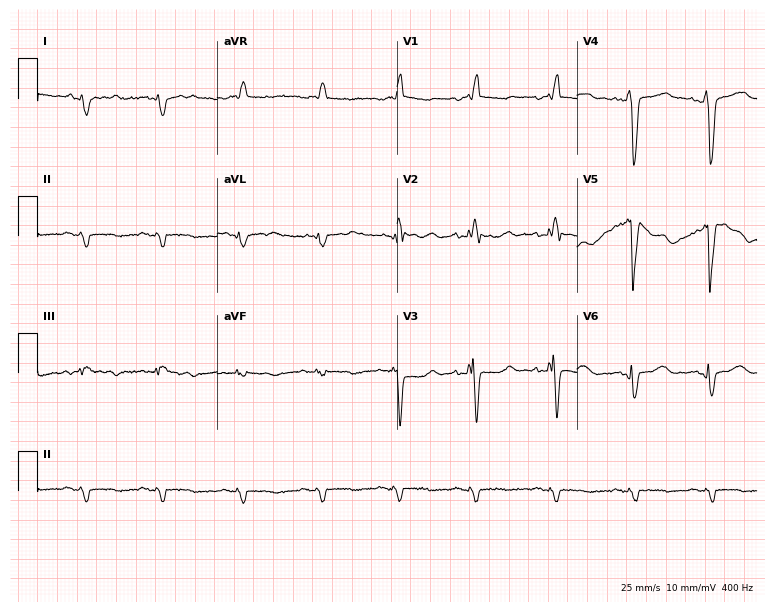
12-lead ECG from a male patient, 61 years old. No first-degree AV block, right bundle branch block, left bundle branch block, sinus bradycardia, atrial fibrillation or sinus tachycardia recorded for this tracing.